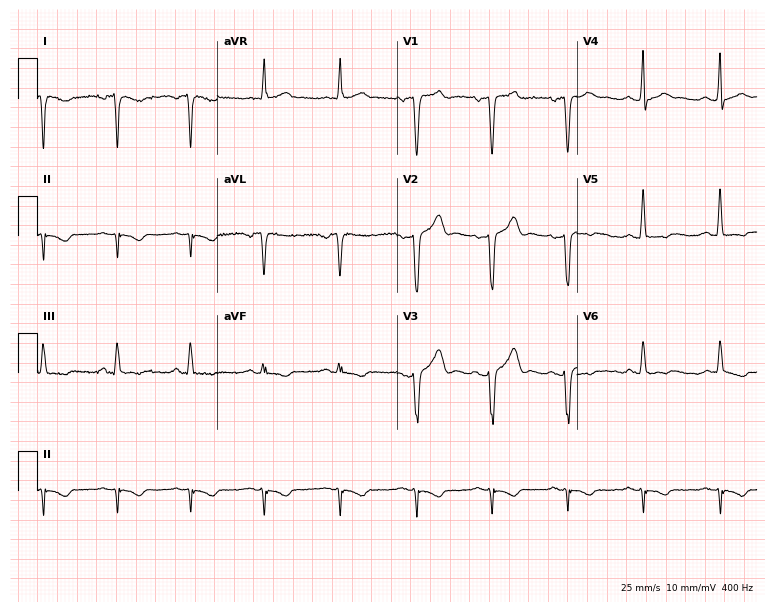
12-lead ECG from a 47-year-old man (7.3-second recording at 400 Hz). No first-degree AV block, right bundle branch block (RBBB), left bundle branch block (LBBB), sinus bradycardia, atrial fibrillation (AF) or sinus tachycardia recorded for this tracing. Findings outside these six are not listed.